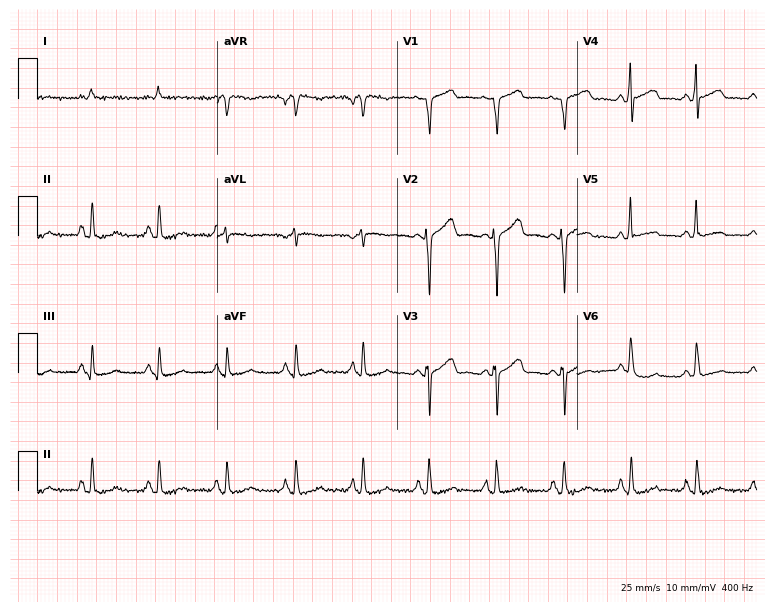
Standard 12-lead ECG recorded from a 64-year-old male patient. None of these six findings is recorded: first-degree AV block, right bundle branch block (RBBB), left bundle branch block (LBBB), sinus bradycardia, atrial fibrillation (AF), sinus tachycardia.